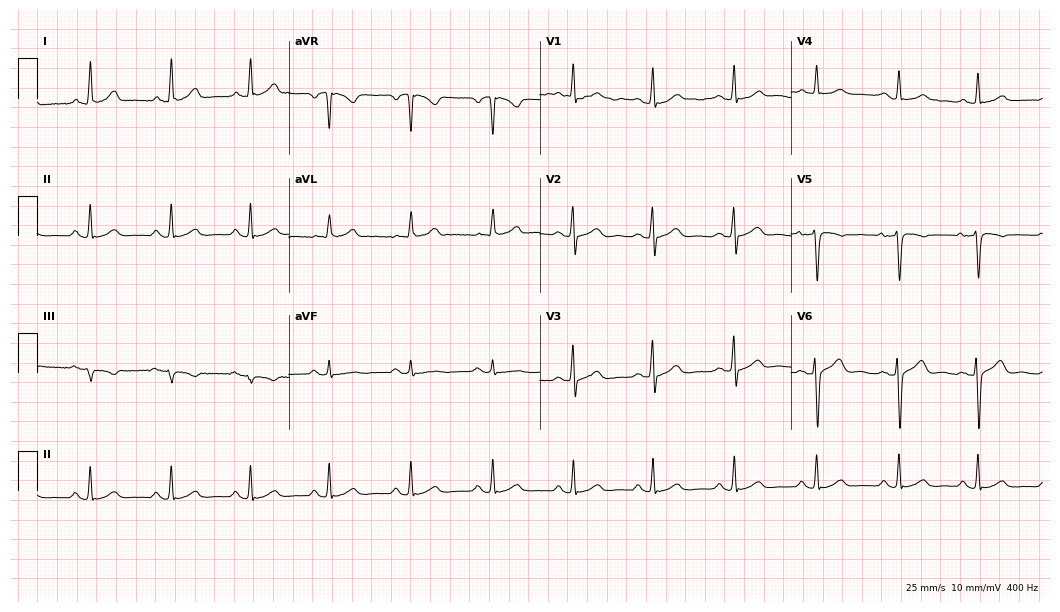
12-lead ECG from a male, 52 years old. Screened for six findings — first-degree AV block, right bundle branch block, left bundle branch block, sinus bradycardia, atrial fibrillation, sinus tachycardia — none is recorded. Other findings, if any, are not listed.